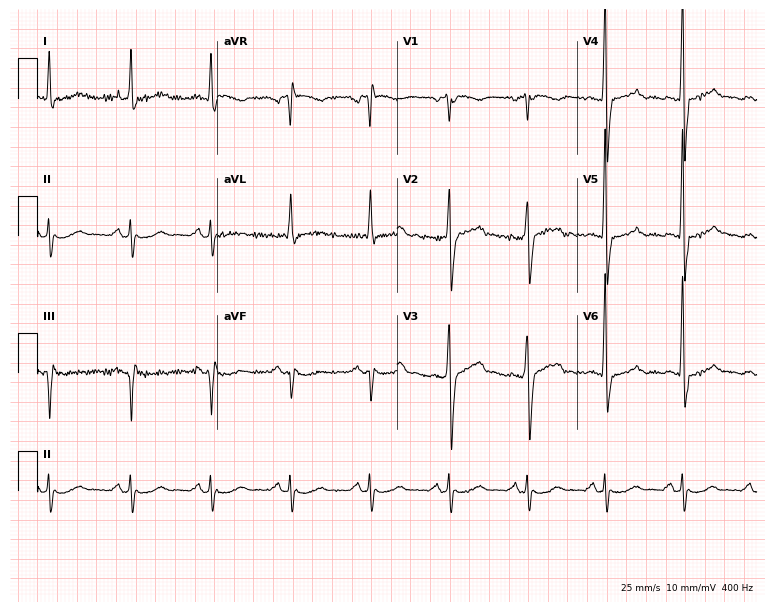
12-lead ECG from a man, 55 years old (7.3-second recording at 400 Hz). No first-degree AV block, right bundle branch block (RBBB), left bundle branch block (LBBB), sinus bradycardia, atrial fibrillation (AF) or sinus tachycardia recorded for this tracing. Findings outside these six are not listed.